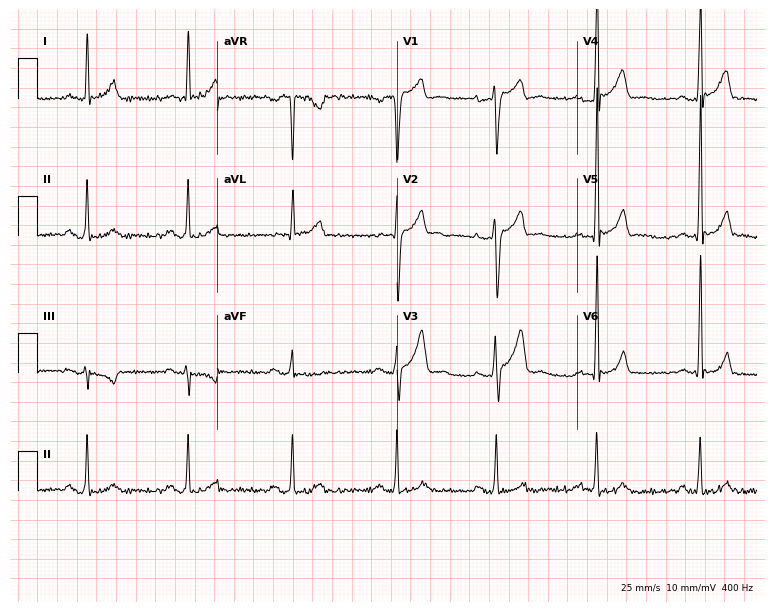
ECG (7.3-second recording at 400 Hz) — a 40-year-old male. Screened for six findings — first-degree AV block, right bundle branch block, left bundle branch block, sinus bradycardia, atrial fibrillation, sinus tachycardia — none is recorded.